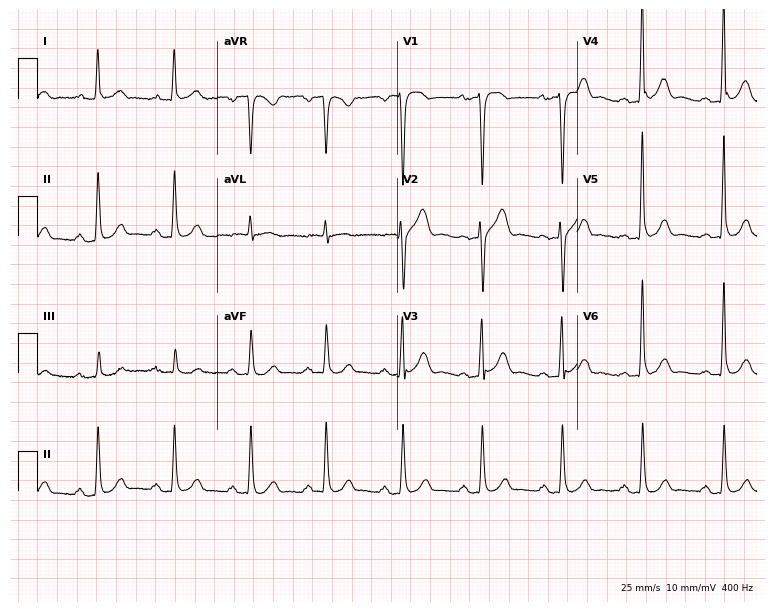
12-lead ECG from a 77-year-old man (7.3-second recording at 400 Hz). Recorded interpretation: within normal limits.